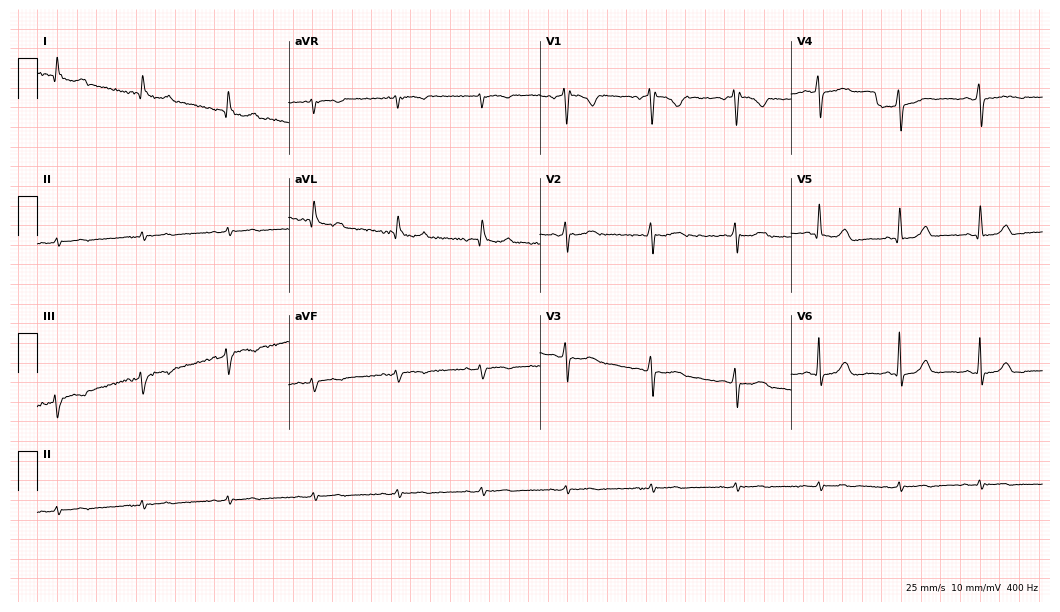
Resting 12-lead electrocardiogram. Patient: a 61-year-old female. None of these six findings is recorded: first-degree AV block, right bundle branch block, left bundle branch block, sinus bradycardia, atrial fibrillation, sinus tachycardia.